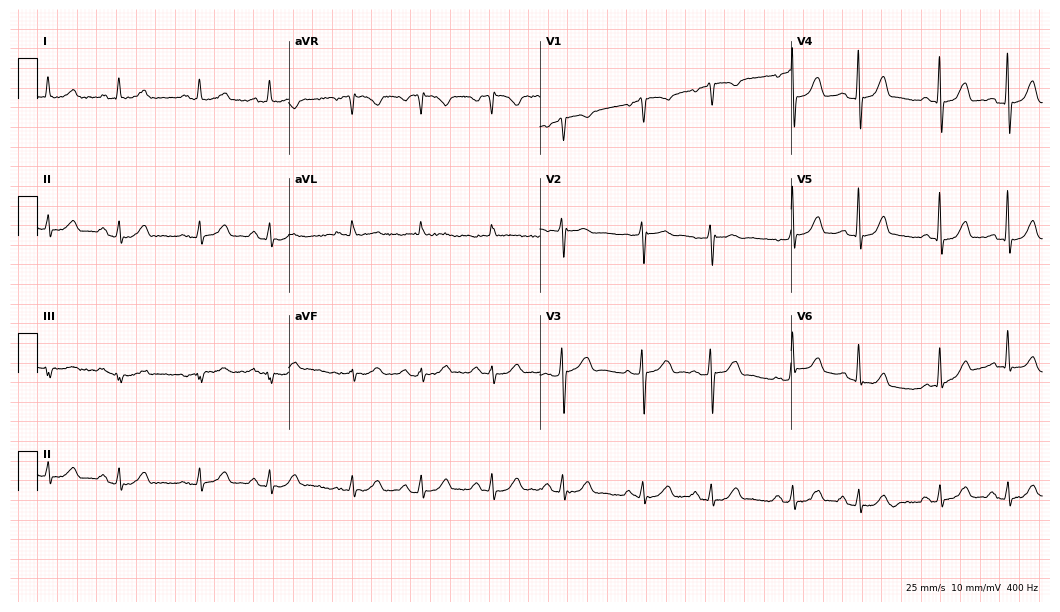
12-lead ECG from a female patient, 80 years old. Screened for six findings — first-degree AV block, right bundle branch block, left bundle branch block, sinus bradycardia, atrial fibrillation, sinus tachycardia — none is recorded.